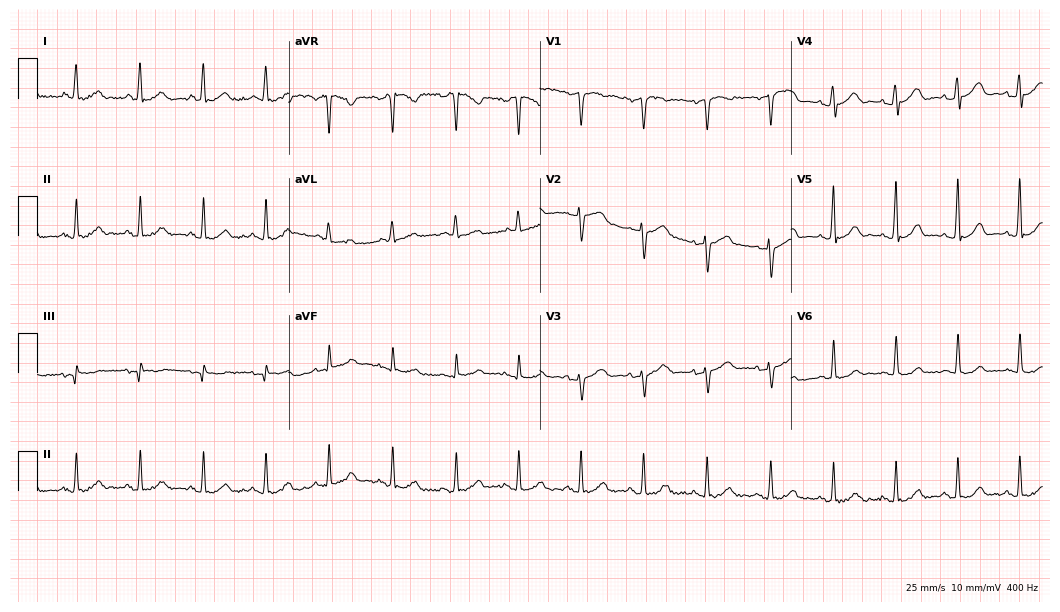
Electrocardiogram (10.2-second recording at 400 Hz), a female, 47 years old. Overall reading on record: normal ECG.